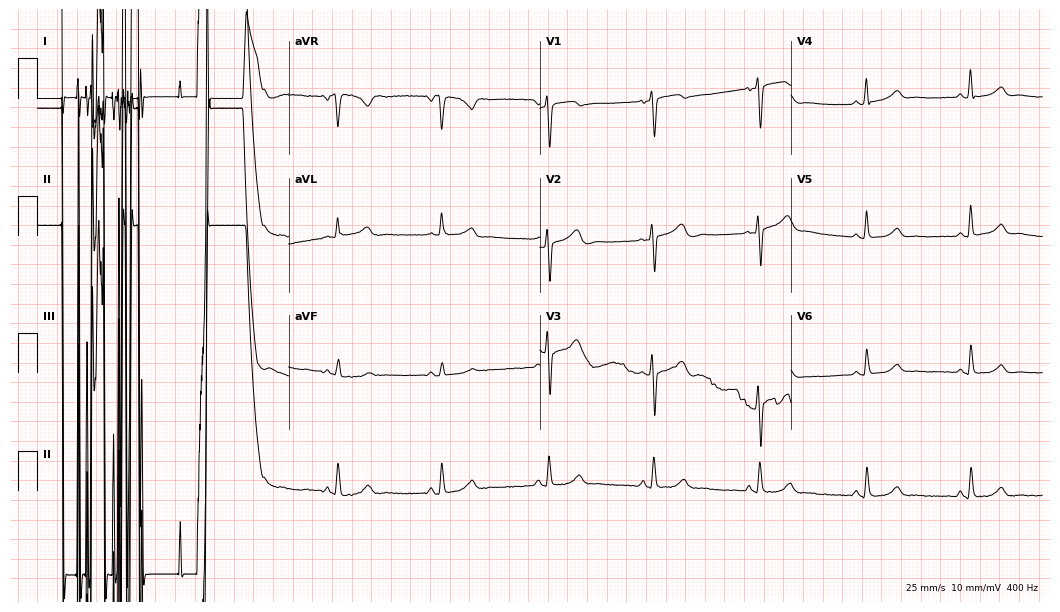
Electrocardiogram, a 61-year-old female. Of the six screened findings (first-degree AV block, right bundle branch block (RBBB), left bundle branch block (LBBB), sinus bradycardia, atrial fibrillation (AF), sinus tachycardia), none is recorded.